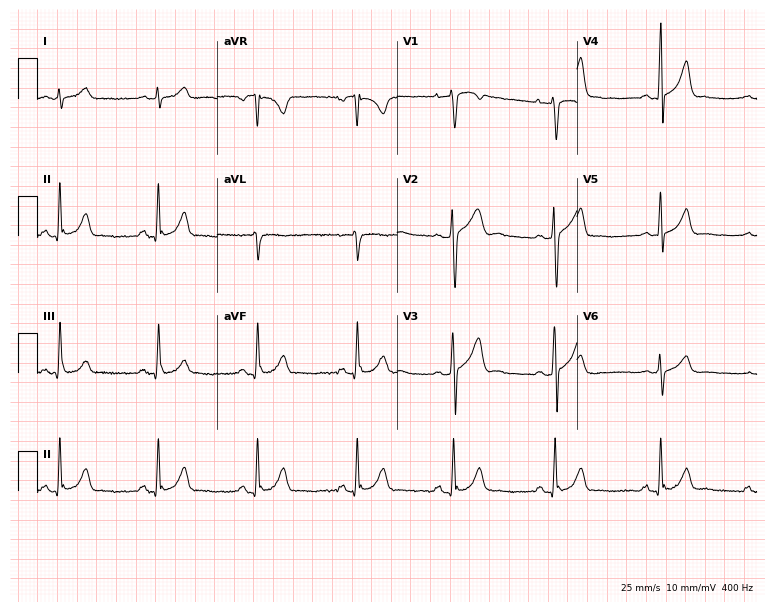
Electrocardiogram, a male, 30 years old. Of the six screened findings (first-degree AV block, right bundle branch block, left bundle branch block, sinus bradycardia, atrial fibrillation, sinus tachycardia), none is recorded.